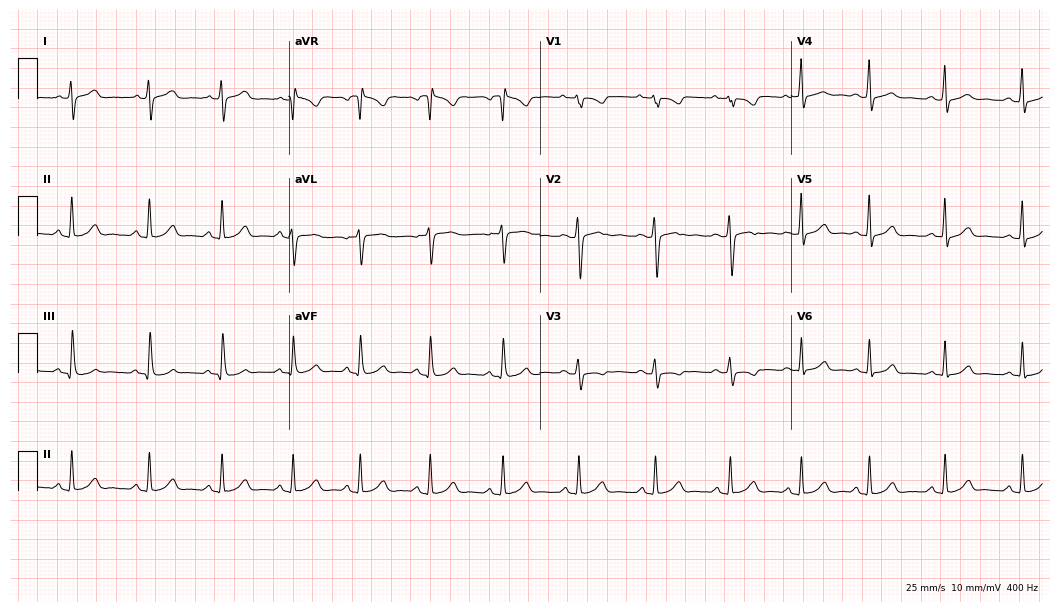
Standard 12-lead ECG recorded from a 21-year-old woman (10.2-second recording at 400 Hz). Read as a normal ECG.